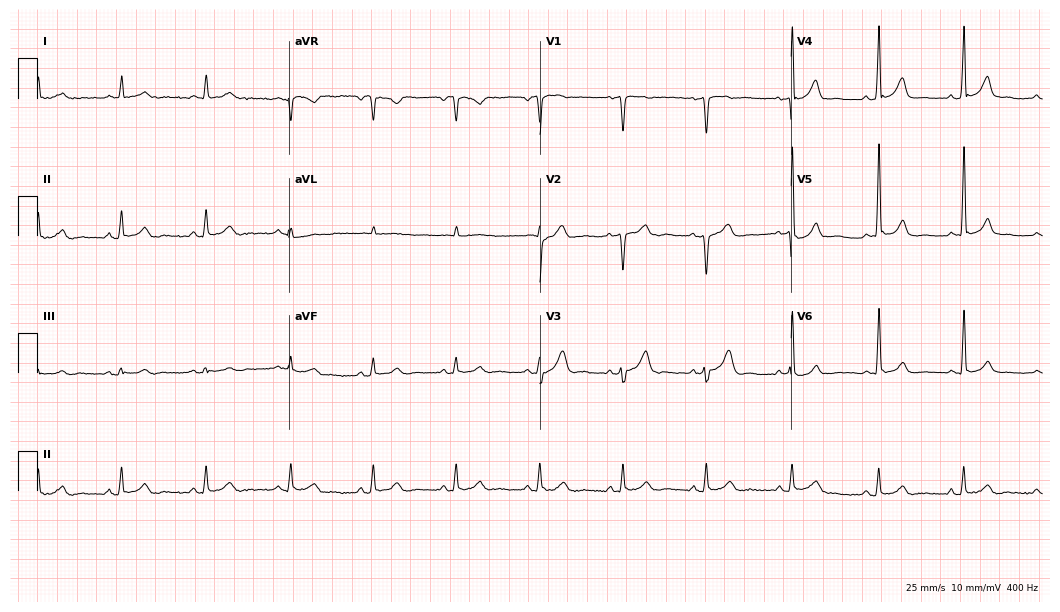
Standard 12-lead ECG recorded from a male patient, 51 years old (10.2-second recording at 400 Hz). Read as a normal ECG.